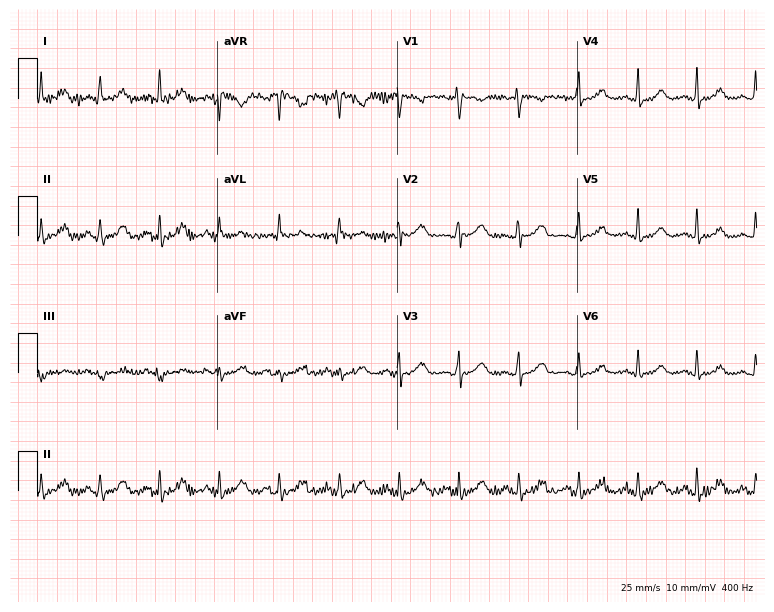
Standard 12-lead ECG recorded from a 40-year-old female. Read as a normal ECG.